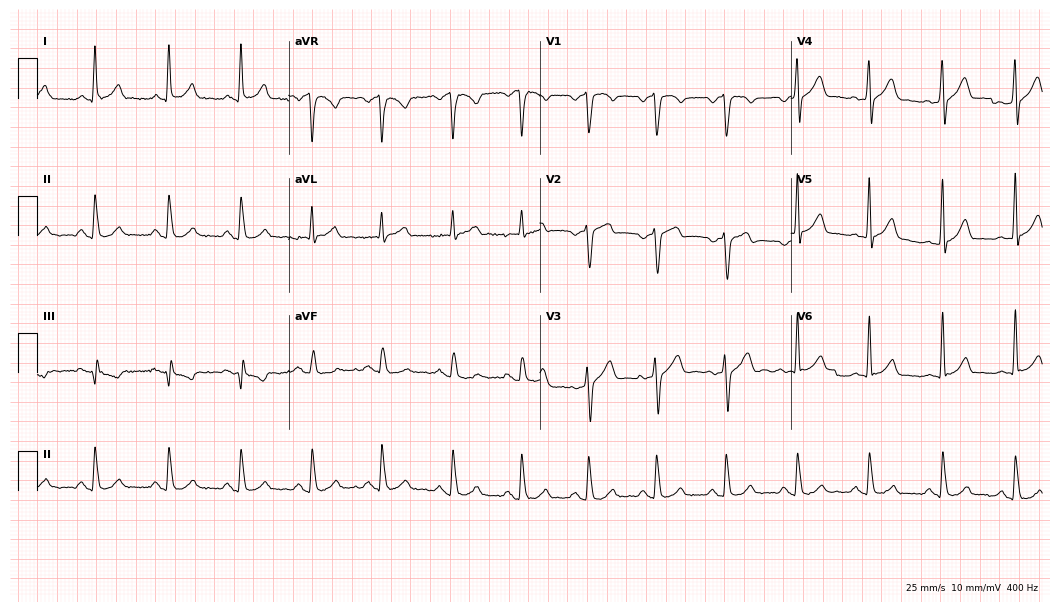
ECG (10.2-second recording at 400 Hz) — a 49-year-old male. Labelled as a normal ECG.